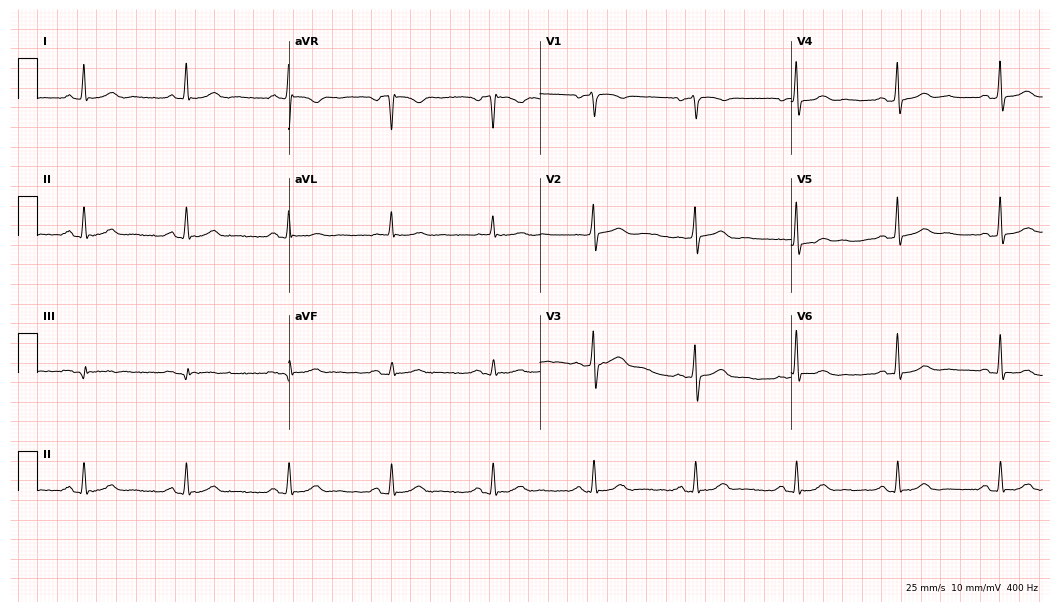
ECG — a 72-year-old male patient. Labelled as a normal ECG.